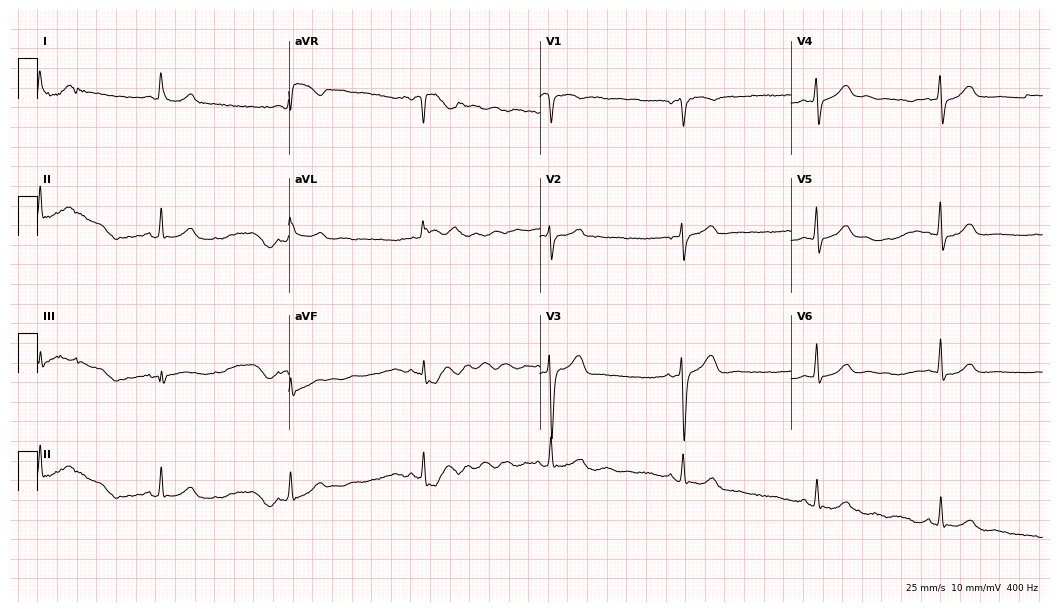
ECG — a woman, 77 years old. Findings include sinus bradycardia (a sinus rate of 50 beats per minute or less).